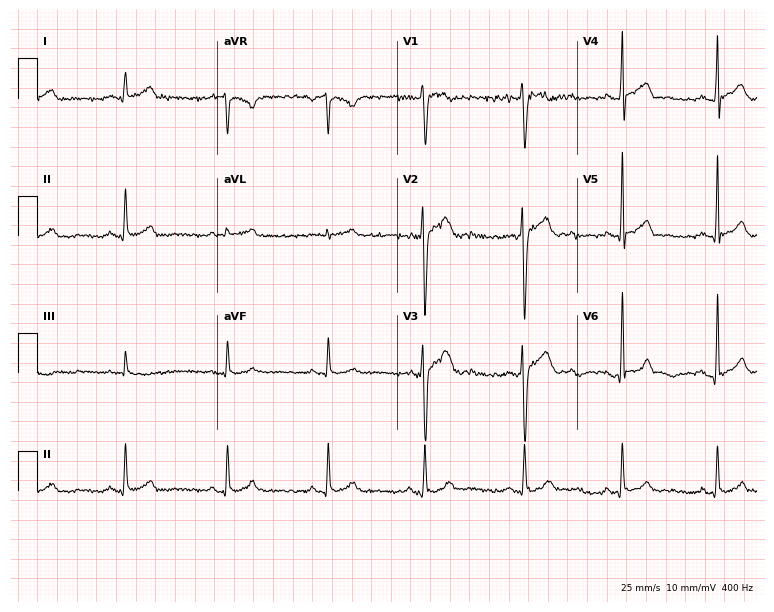
Electrocardiogram, a male, 28 years old. Overall reading on record: normal ECG.